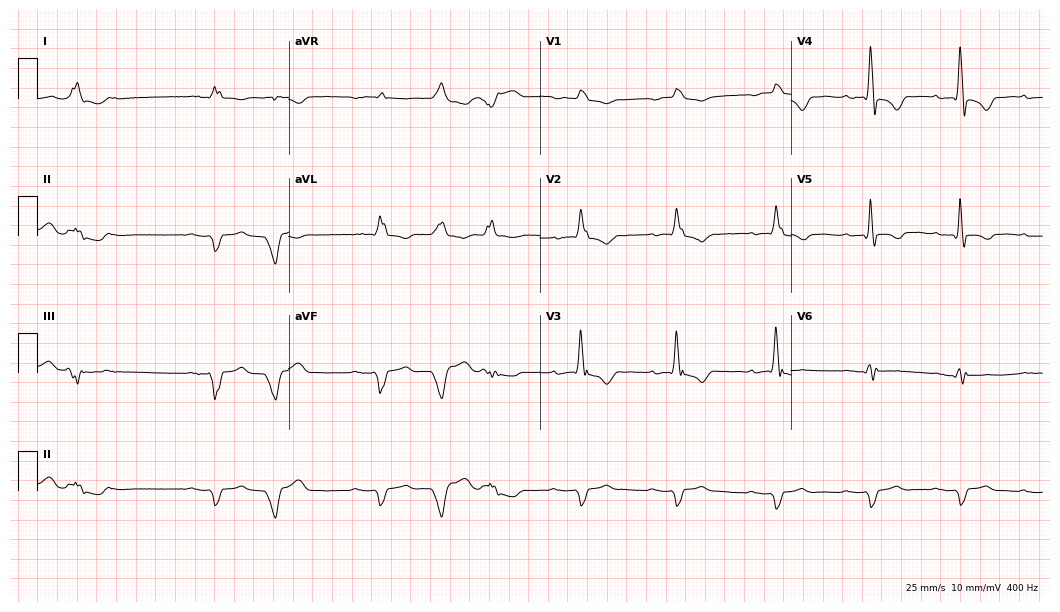
Electrocardiogram, a 72-year-old male patient. Interpretation includes first-degree AV block.